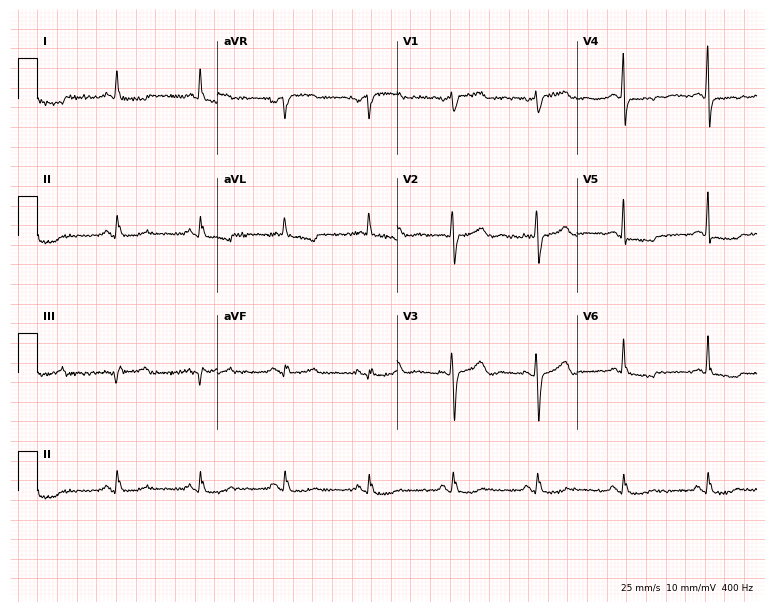
Standard 12-lead ECG recorded from a female patient, 84 years old. None of these six findings is recorded: first-degree AV block, right bundle branch block, left bundle branch block, sinus bradycardia, atrial fibrillation, sinus tachycardia.